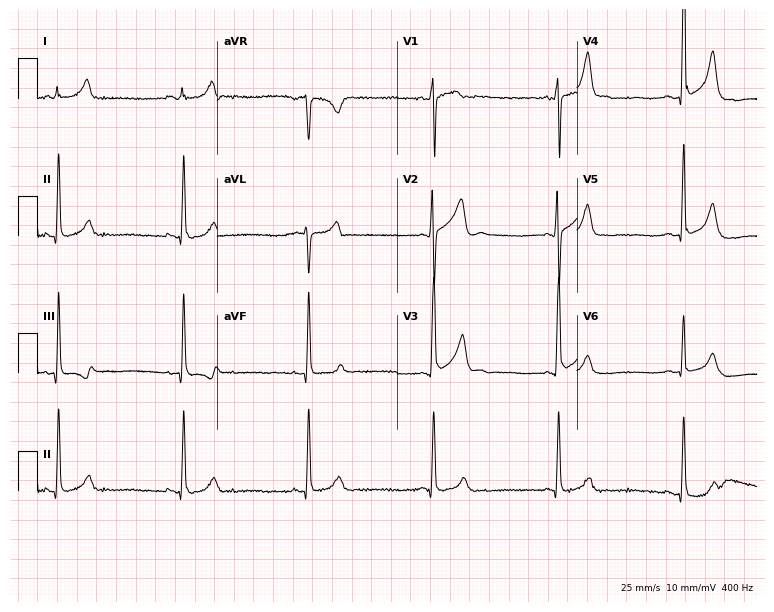
12-lead ECG (7.3-second recording at 400 Hz) from a male patient, 19 years old. Screened for six findings — first-degree AV block, right bundle branch block (RBBB), left bundle branch block (LBBB), sinus bradycardia, atrial fibrillation (AF), sinus tachycardia — none is recorded. Other findings, if any, are not listed.